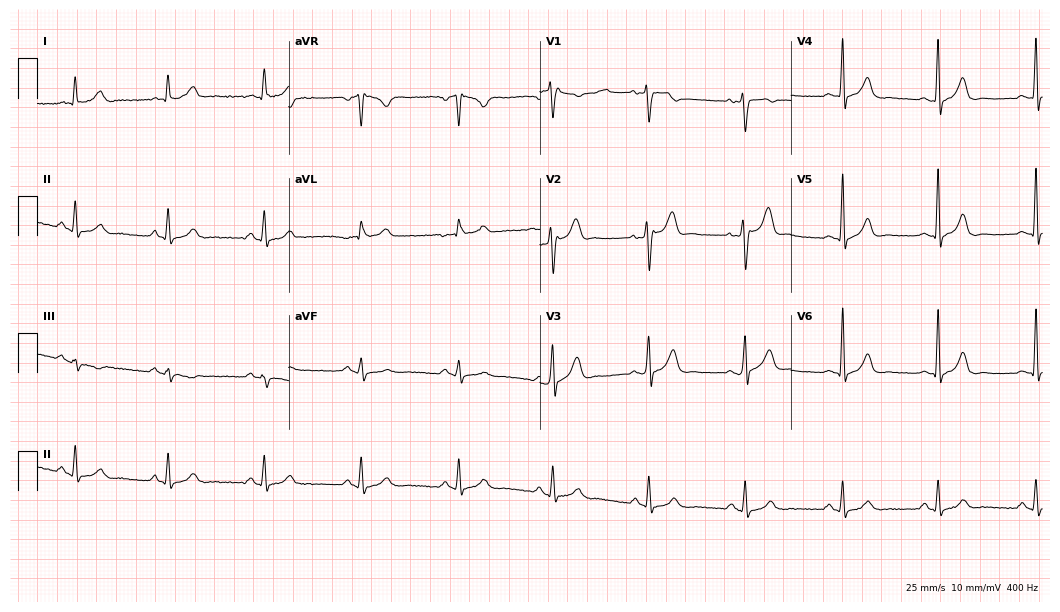
Standard 12-lead ECG recorded from a male, 47 years old (10.2-second recording at 400 Hz). Read as a normal ECG.